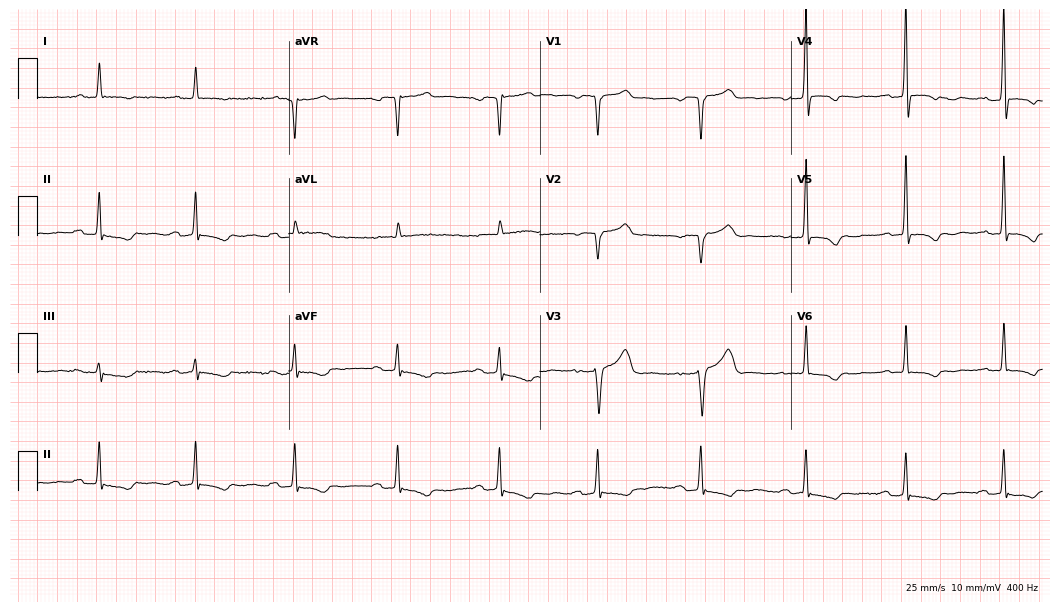
Electrocardiogram (10.2-second recording at 400 Hz), a 69-year-old male. Interpretation includes first-degree AV block.